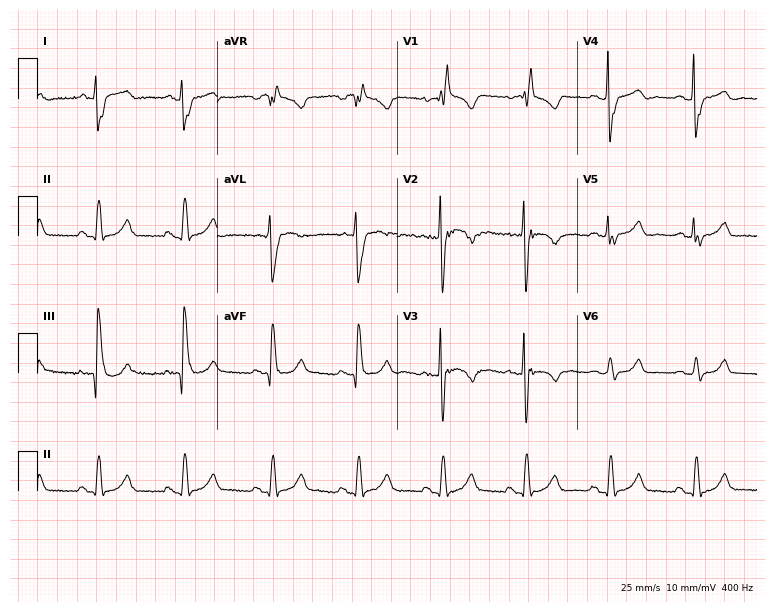
12-lead ECG from a 62-year-old female (7.3-second recording at 400 Hz). Shows right bundle branch block.